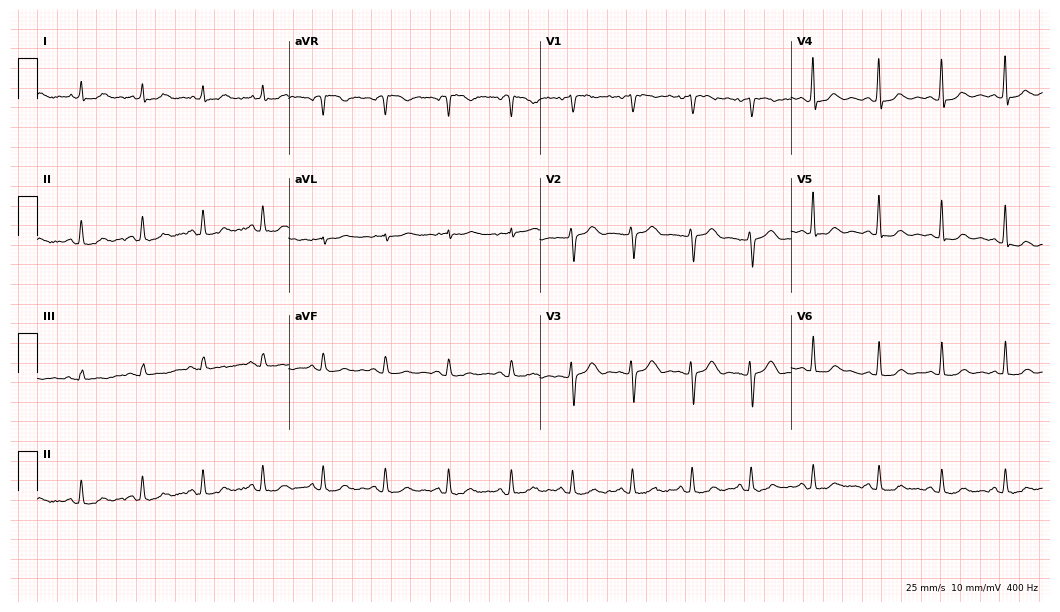
12-lead ECG from a woman, 52 years old (10.2-second recording at 400 Hz). Recorded interpretation: within normal limits.